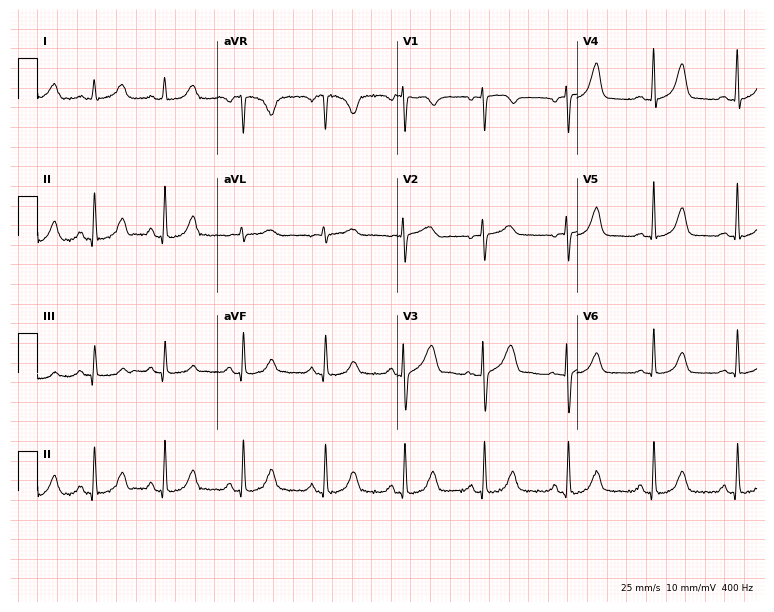
12-lead ECG from a female patient, 39 years old. Labelled as a normal ECG.